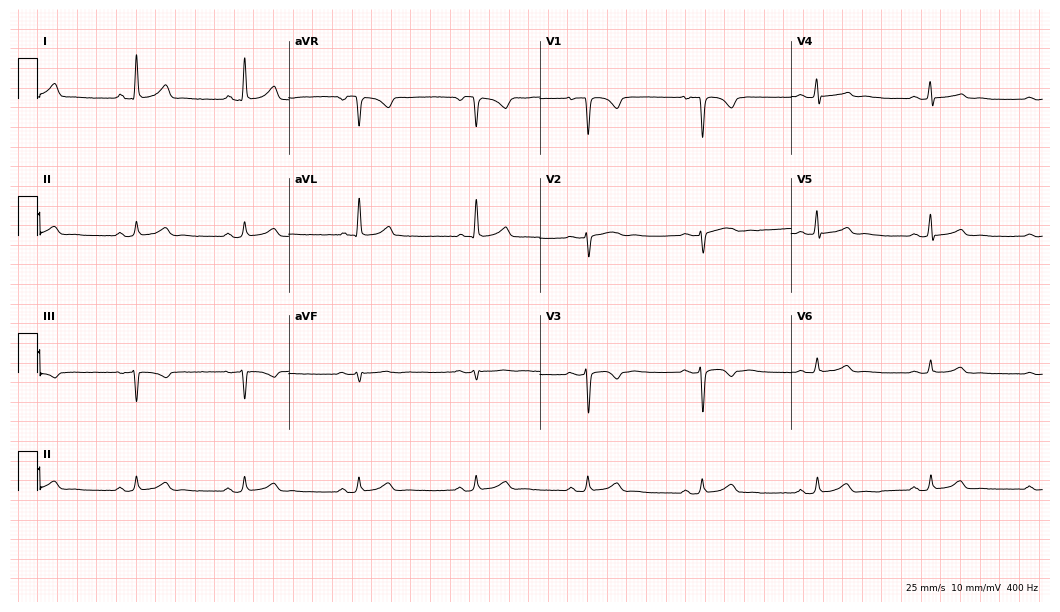
Resting 12-lead electrocardiogram. Patient: a female, 44 years old. Read as a normal ECG.